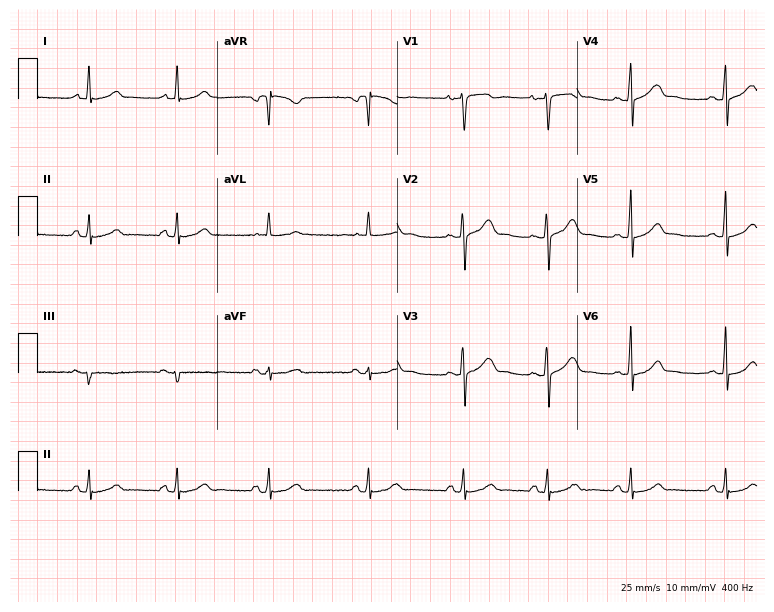
12-lead ECG from a woman, 28 years old. Labelled as a normal ECG.